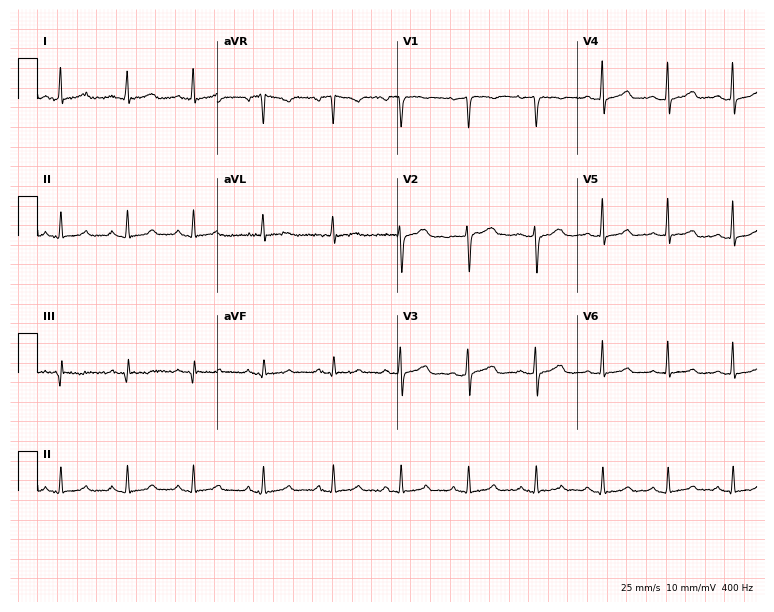
12-lead ECG from a 45-year-old female patient. Screened for six findings — first-degree AV block, right bundle branch block (RBBB), left bundle branch block (LBBB), sinus bradycardia, atrial fibrillation (AF), sinus tachycardia — none is recorded. Findings outside these six are not listed.